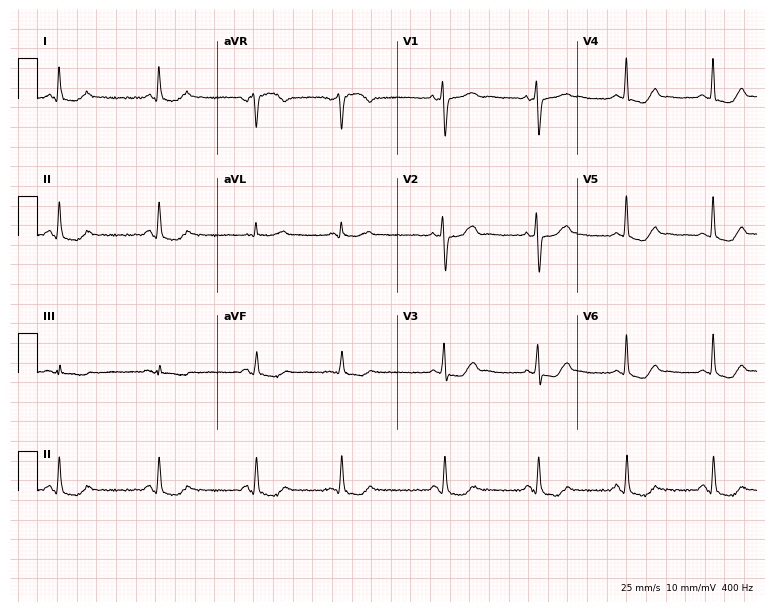
12-lead ECG from a woman, 60 years old. No first-degree AV block, right bundle branch block (RBBB), left bundle branch block (LBBB), sinus bradycardia, atrial fibrillation (AF) or sinus tachycardia recorded for this tracing.